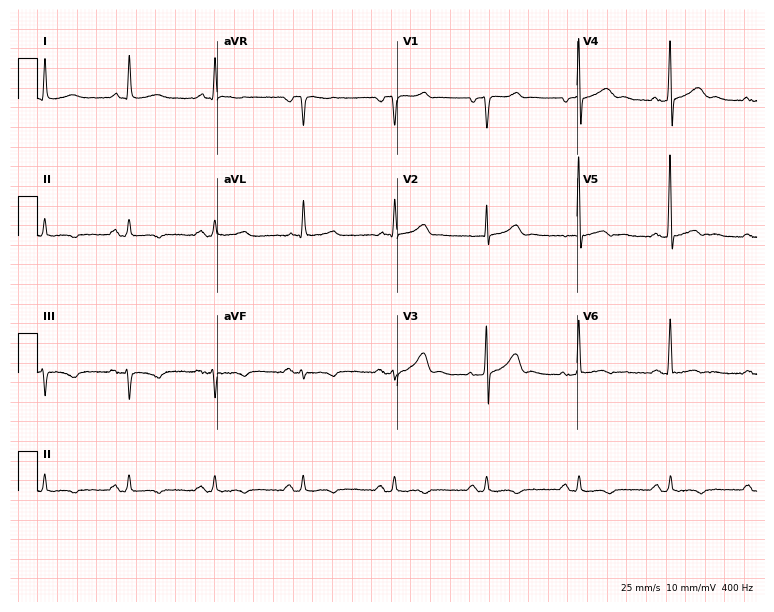
12-lead ECG (7.3-second recording at 400 Hz) from a 66-year-old male patient. Screened for six findings — first-degree AV block, right bundle branch block, left bundle branch block, sinus bradycardia, atrial fibrillation, sinus tachycardia — none is recorded. Only these six findings were labelled.